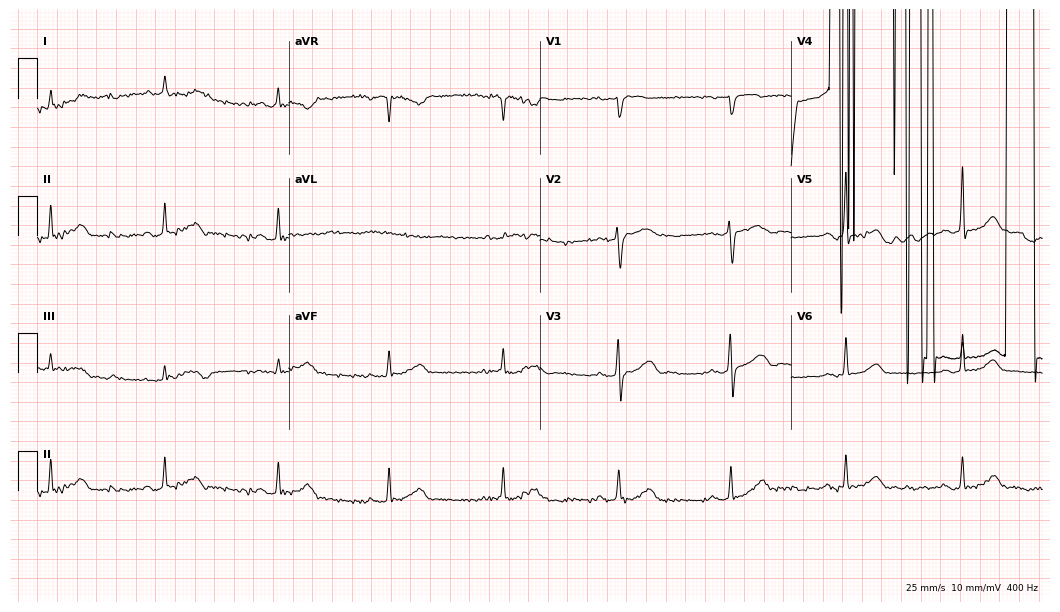
Resting 12-lead electrocardiogram. Patient: a female, 80 years old. None of these six findings is recorded: first-degree AV block, right bundle branch block, left bundle branch block, sinus bradycardia, atrial fibrillation, sinus tachycardia.